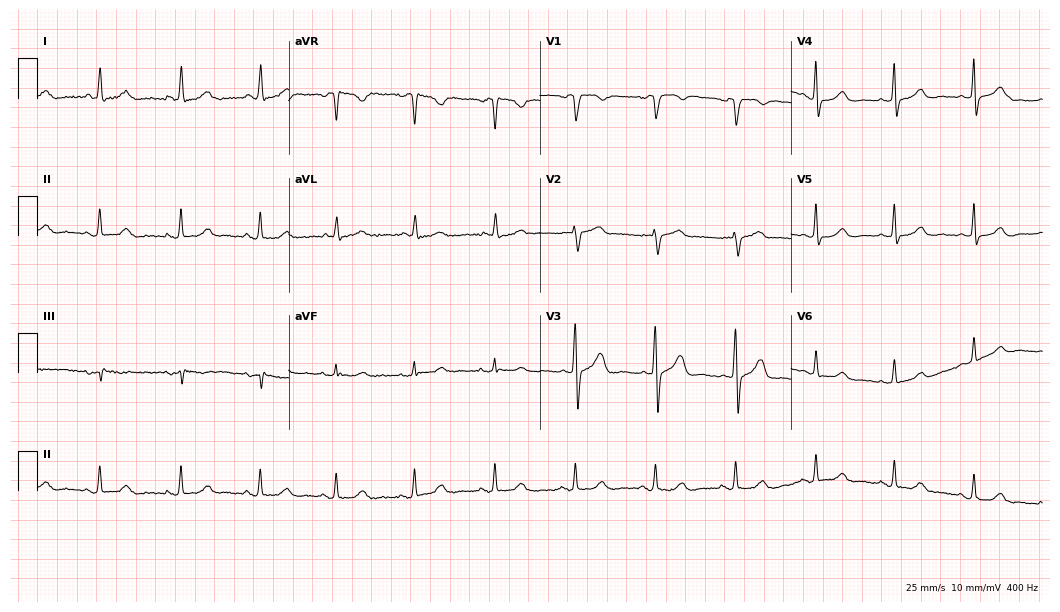
Resting 12-lead electrocardiogram. Patient: a 72-year-old female. Read as a normal ECG.